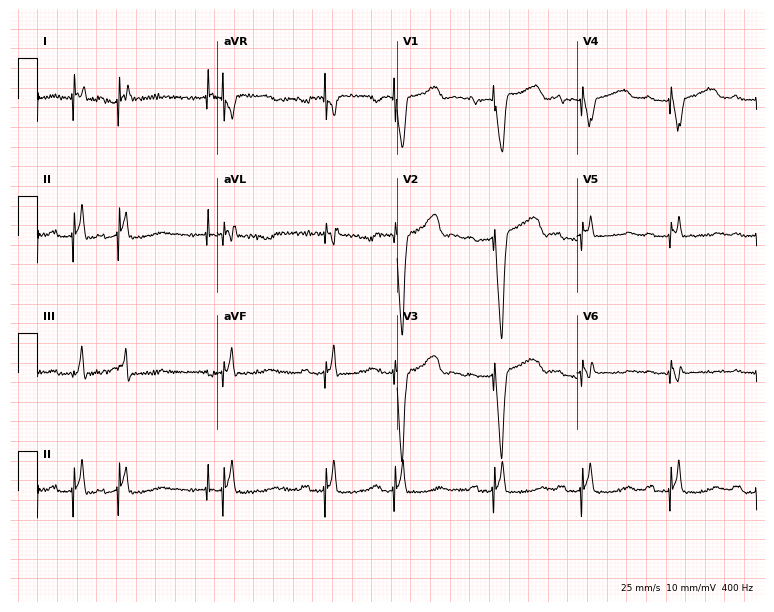
Resting 12-lead electrocardiogram. Patient: a woman, 69 years old. None of these six findings is recorded: first-degree AV block, right bundle branch block, left bundle branch block, sinus bradycardia, atrial fibrillation, sinus tachycardia. Findings outside these six are not listed.